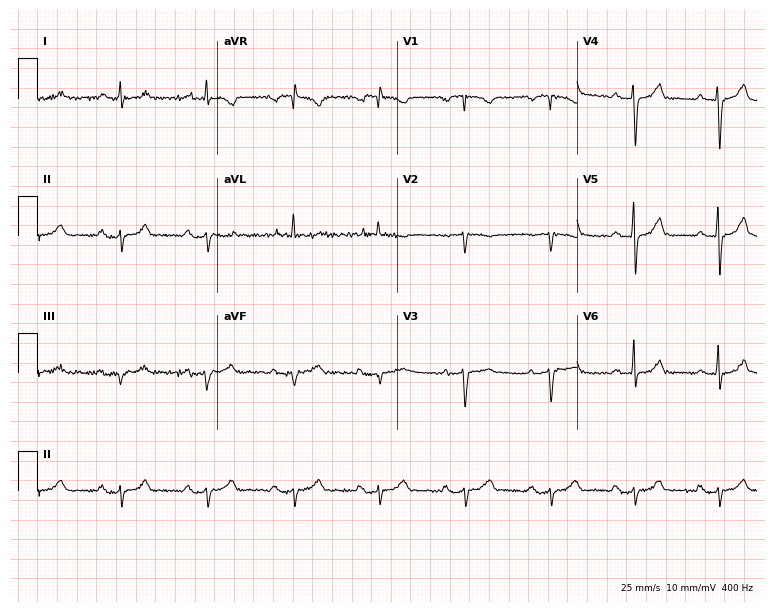
12-lead ECG from a 66-year-old female. Screened for six findings — first-degree AV block, right bundle branch block (RBBB), left bundle branch block (LBBB), sinus bradycardia, atrial fibrillation (AF), sinus tachycardia — none is recorded. Only these six findings were labelled.